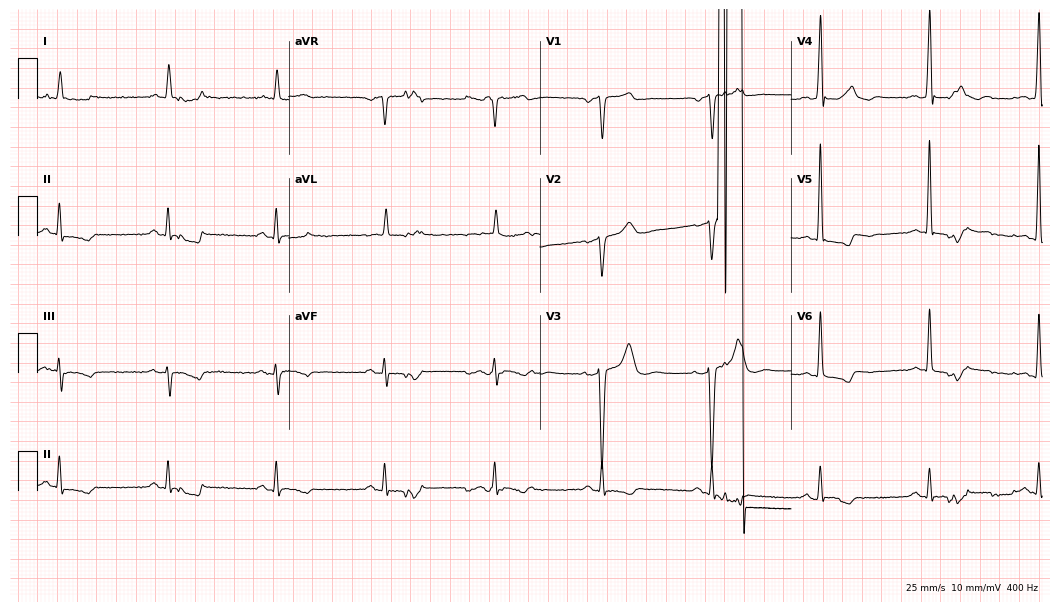
Standard 12-lead ECG recorded from a male, 65 years old (10.2-second recording at 400 Hz). None of these six findings is recorded: first-degree AV block, right bundle branch block, left bundle branch block, sinus bradycardia, atrial fibrillation, sinus tachycardia.